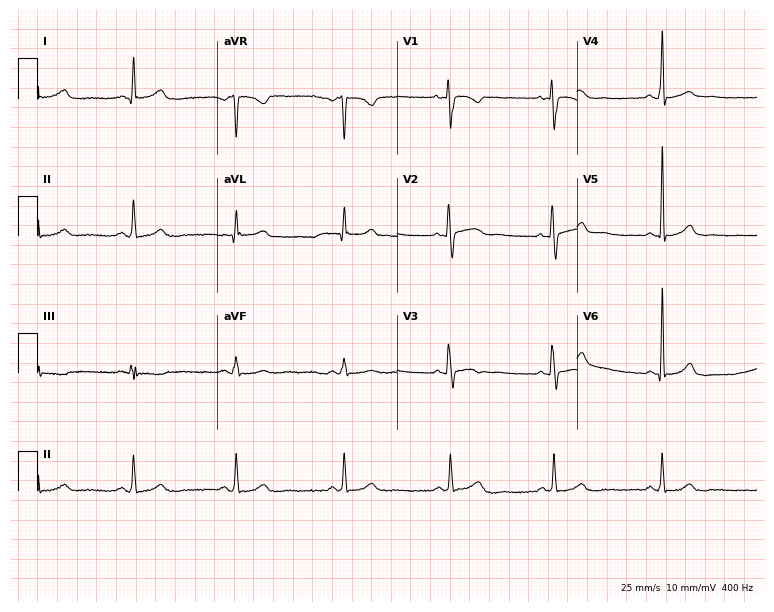
12-lead ECG from a 38-year-old woman. Recorded interpretation: within normal limits.